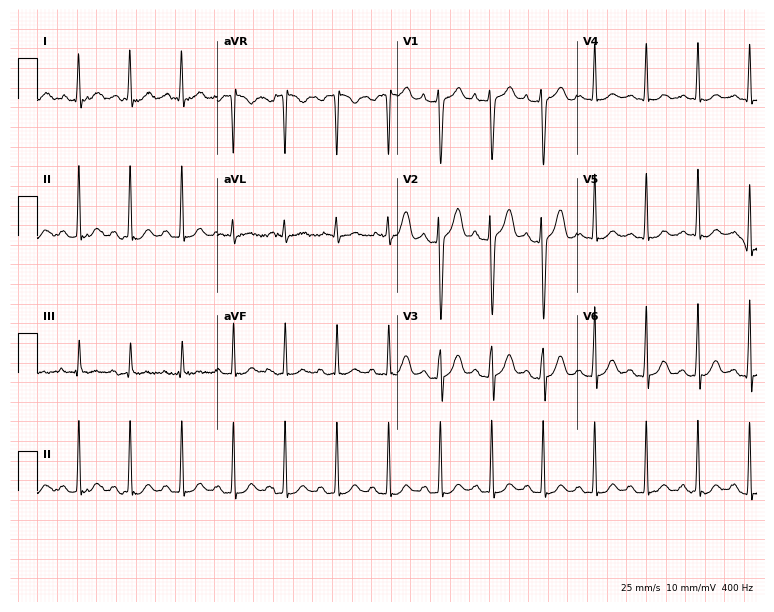
Resting 12-lead electrocardiogram. Patient: a male, 20 years old. The tracing shows sinus tachycardia (a sinus rate of 100 beats per minute or more).